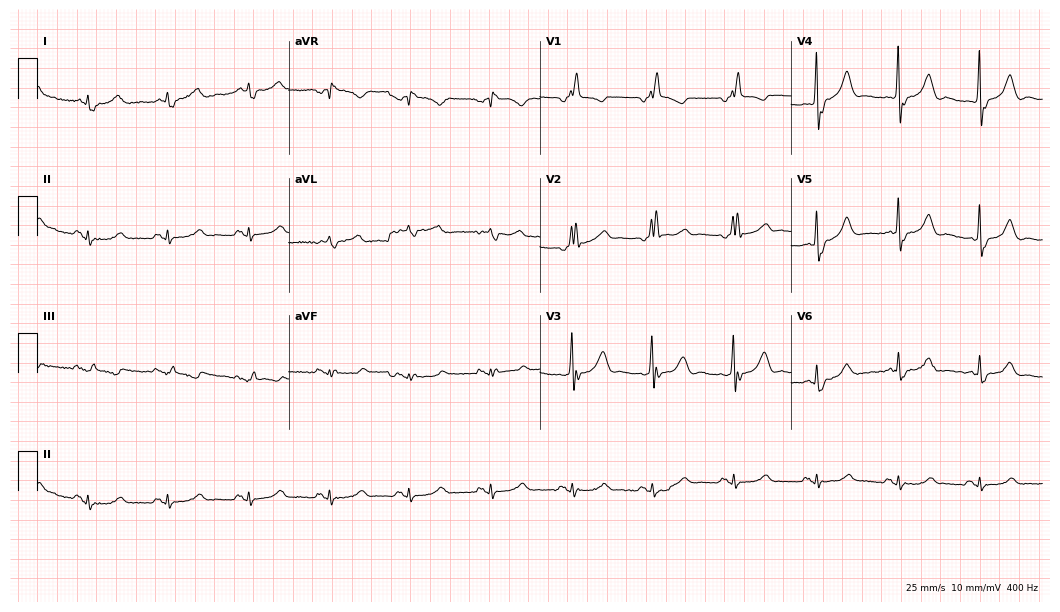
Standard 12-lead ECG recorded from a man, 76 years old. The tracing shows right bundle branch block.